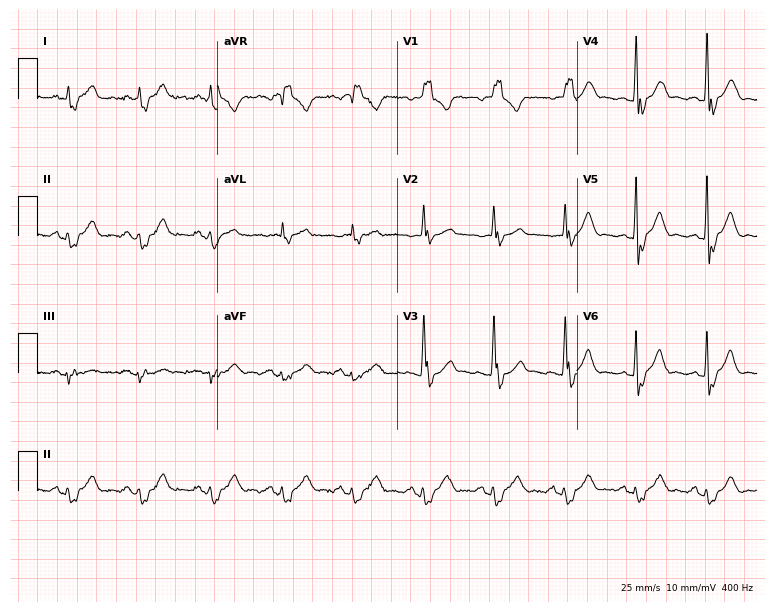
Electrocardiogram, a male patient, 69 years old. Interpretation includes right bundle branch block.